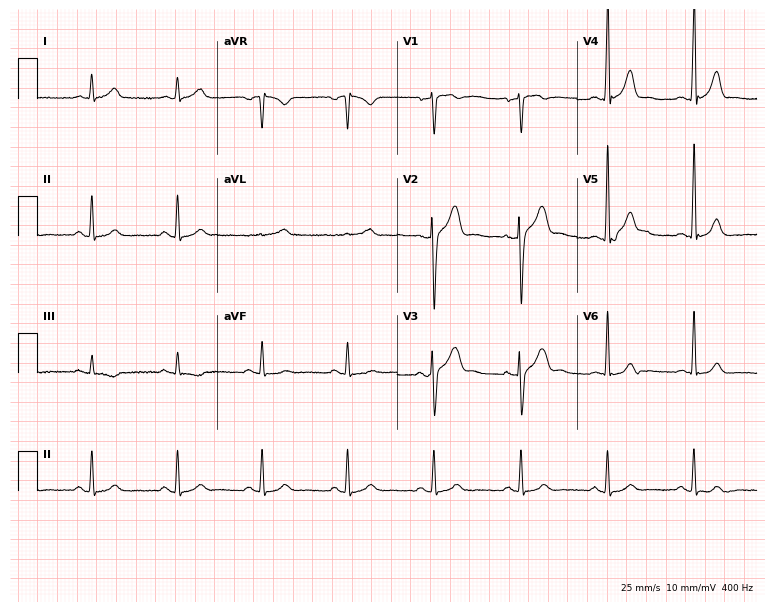
Resting 12-lead electrocardiogram (7.3-second recording at 400 Hz). Patient: a 51-year-old man. Read as a normal ECG.